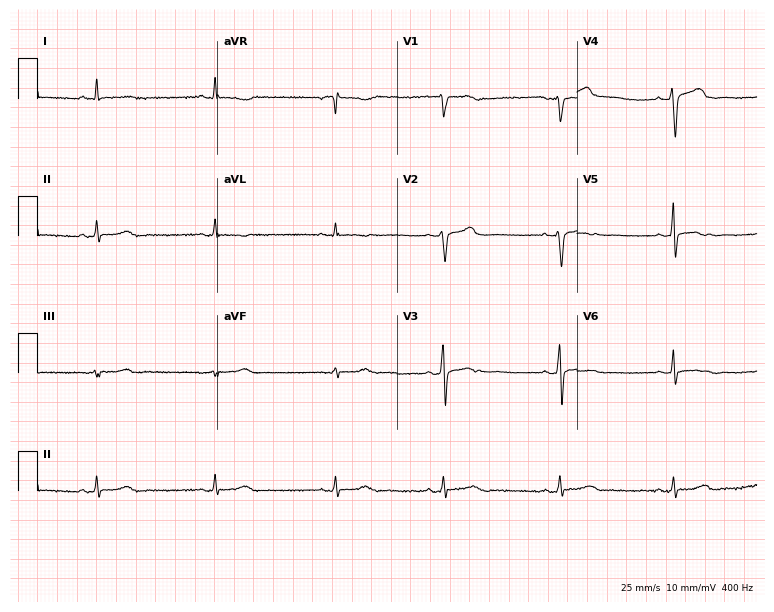
12-lead ECG from a 41-year-old woman. Screened for six findings — first-degree AV block, right bundle branch block, left bundle branch block, sinus bradycardia, atrial fibrillation, sinus tachycardia — none is recorded.